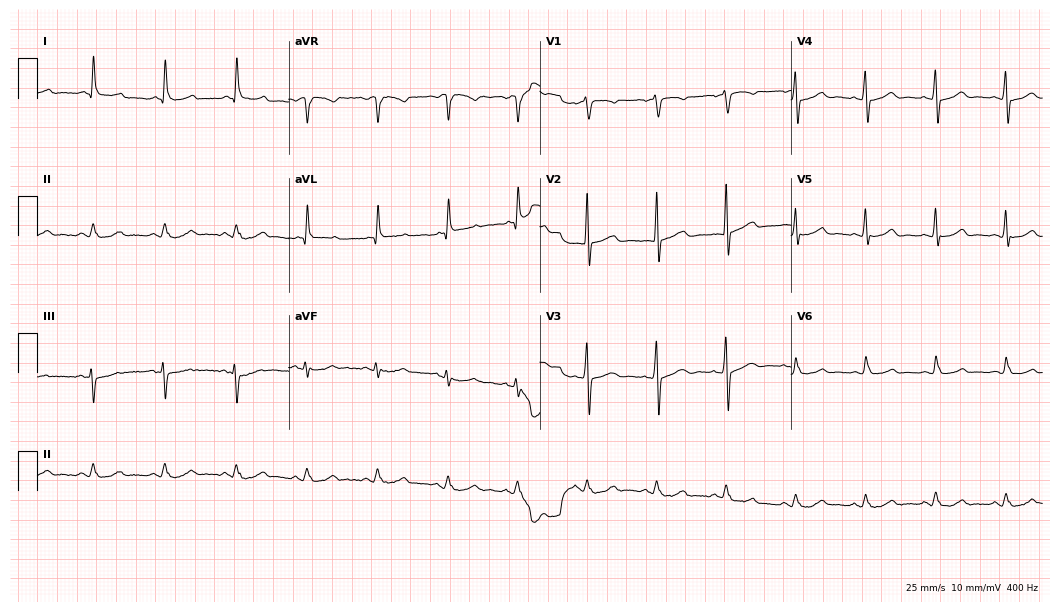
12-lead ECG (10.2-second recording at 400 Hz) from a female, 76 years old. Screened for six findings — first-degree AV block, right bundle branch block, left bundle branch block, sinus bradycardia, atrial fibrillation, sinus tachycardia — none is recorded. Other findings, if any, are not listed.